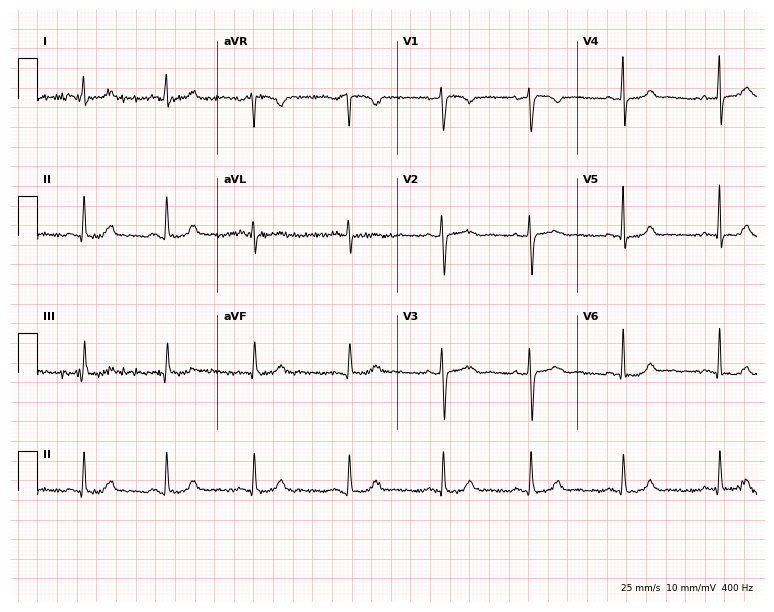
Electrocardiogram, a female patient, 43 years old. Of the six screened findings (first-degree AV block, right bundle branch block (RBBB), left bundle branch block (LBBB), sinus bradycardia, atrial fibrillation (AF), sinus tachycardia), none is recorded.